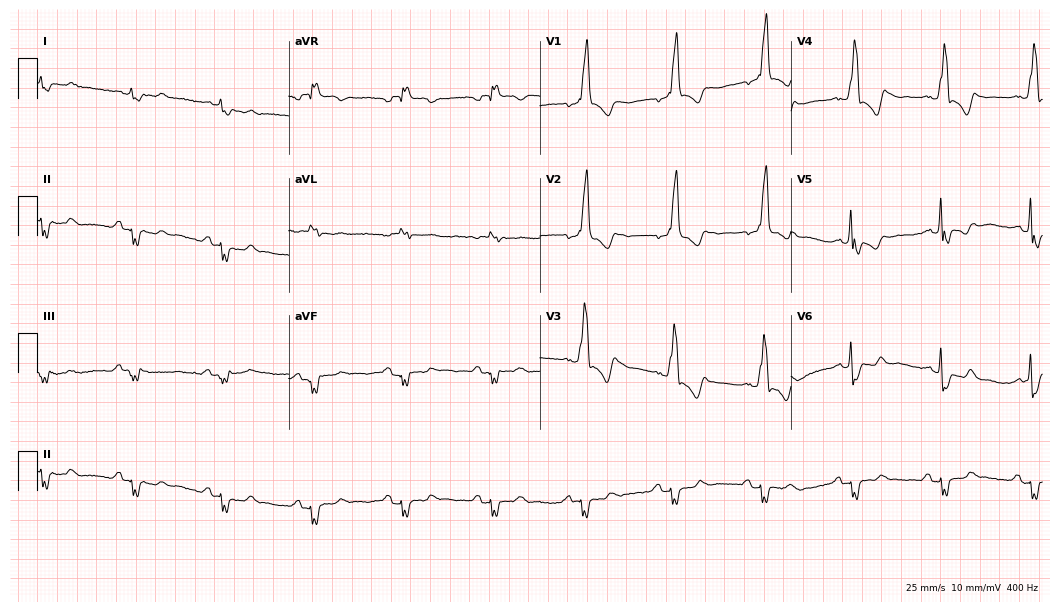
Electrocardiogram (10.2-second recording at 400 Hz), an 80-year-old man. Of the six screened findings (first-degree AV block, right bundle branch block, left bundle branch block, sinus bradycardia, atrial fibrillation, sinus tachycardia), none is recorded.